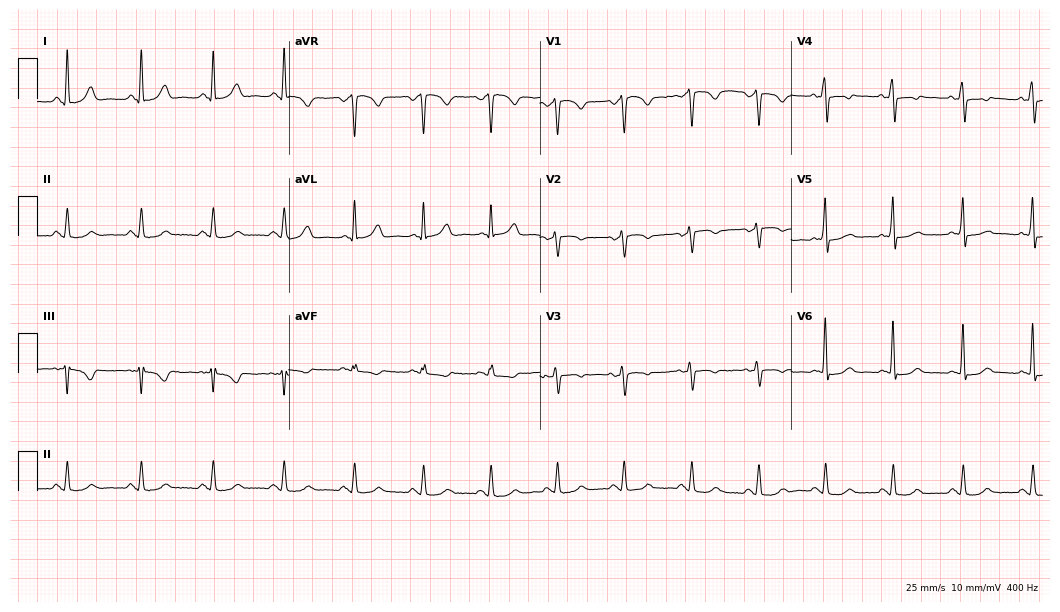
Resting 12-lead electrocardiogram (10.2-second recording at 400 Hz). Patient: a female, 42 years old. None of these six findings is recorded: first-degree AV block, right bundle branch block, left bundle branch block, sinus bradycardia, atrial fibrillation, sinus tachycardia. Other findings, if any, are not listed.